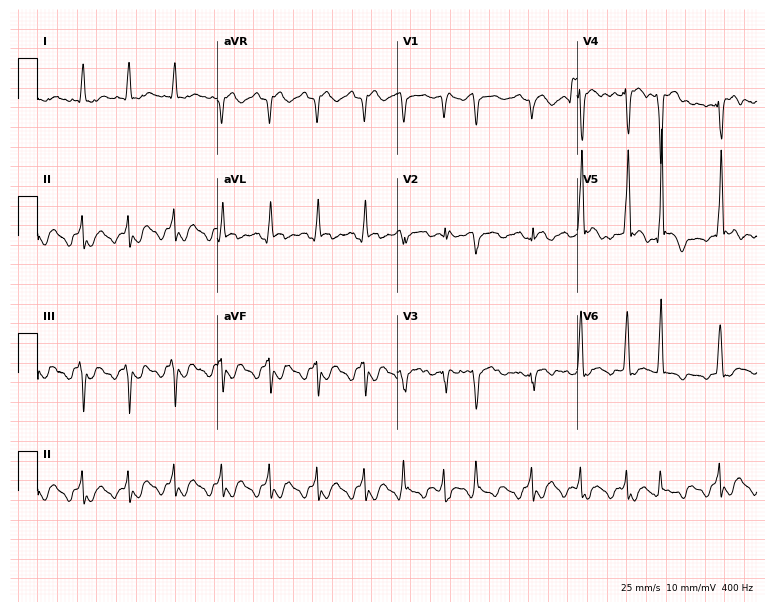
Resting 12-lead electrocardiogram (7.3-second recording at 400 Hz). Patient: a 75-year-old man. None of these six findings is recorded: first-degree AV block, right bundle branch block, left bundle branch block, sinus bradycardia, atrial fibrillation, sinus tachycardia.